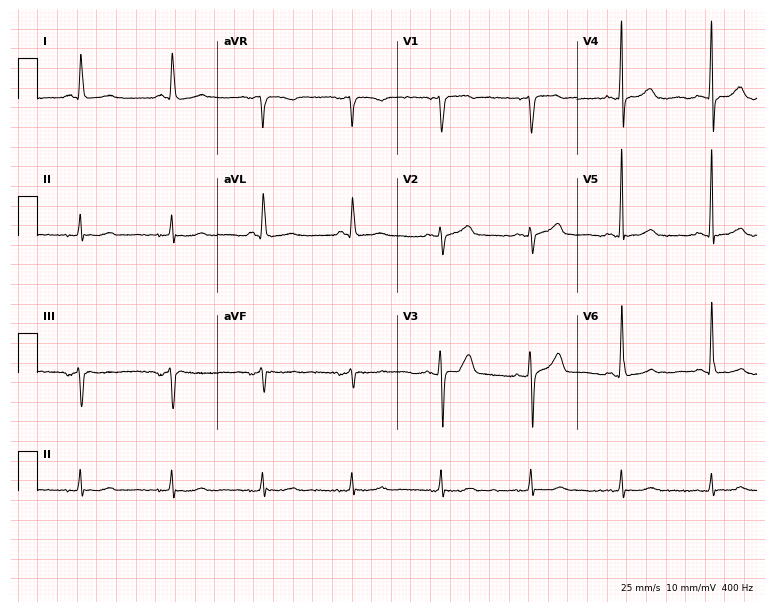
12-lead ECG from a 67-year-old male patient. Screened for six findings — first-degree AV block, right bundle branch block, left bundle branch block, sinus bradycardia, atrial fibrillation, sinus tachycardia — none is recorded.